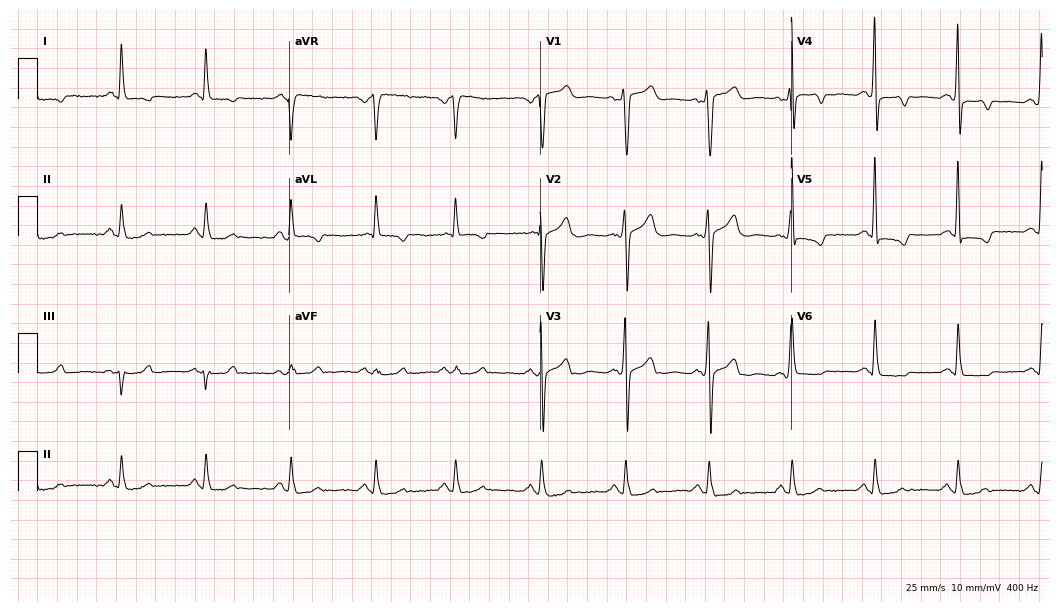
ECG (10.2-second recording at 400 Hz) — a 55-year-old male patient. Screened for six findings — first-degree AV block, right bundle branch block, left bundle branch block, sinus bradycardia, atrial fibrillation, sinus tachycardia — none is recorded. Only these six findings were labelled.